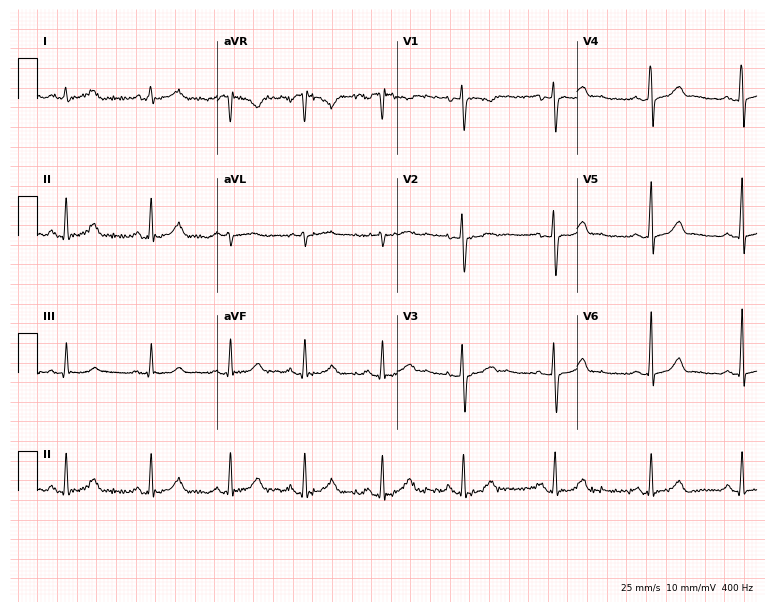
Electrocardiogram (7.3-second recording at 400 Hz), a 38-year-old woman. Overall reading on record: normal ECG.